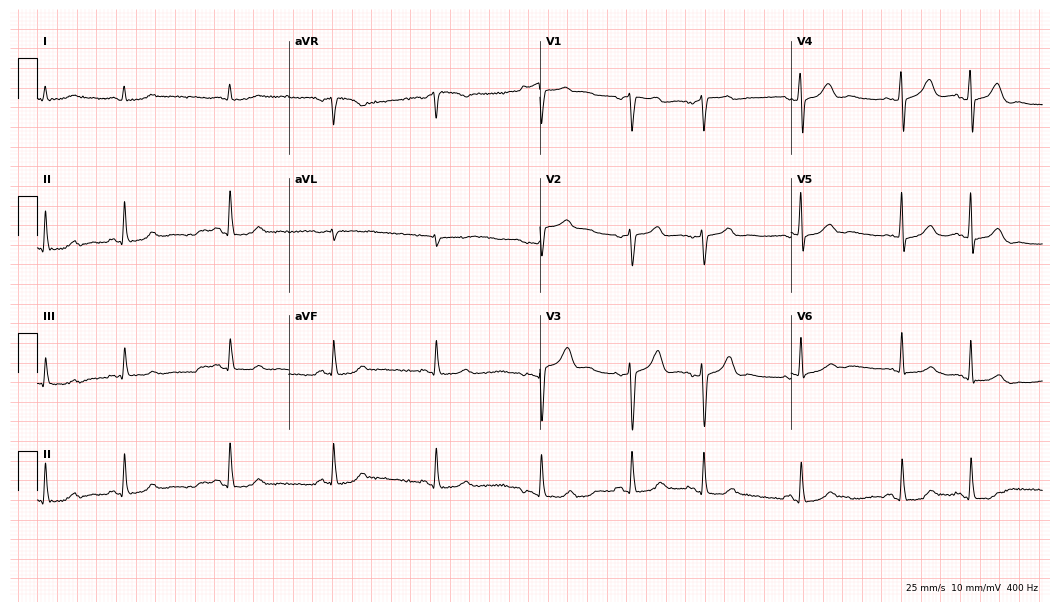
Standard 12-lead ECG recorded from a 73-year-old man (10.2-second recording at 400 Hz). None of these six findings is recorded: first-degree AV block, right bundle branch block, left bundle branch block, sinus bradycardia, atrial fibrillation, sinus tachycardia. Other findings, if any, are not listed.